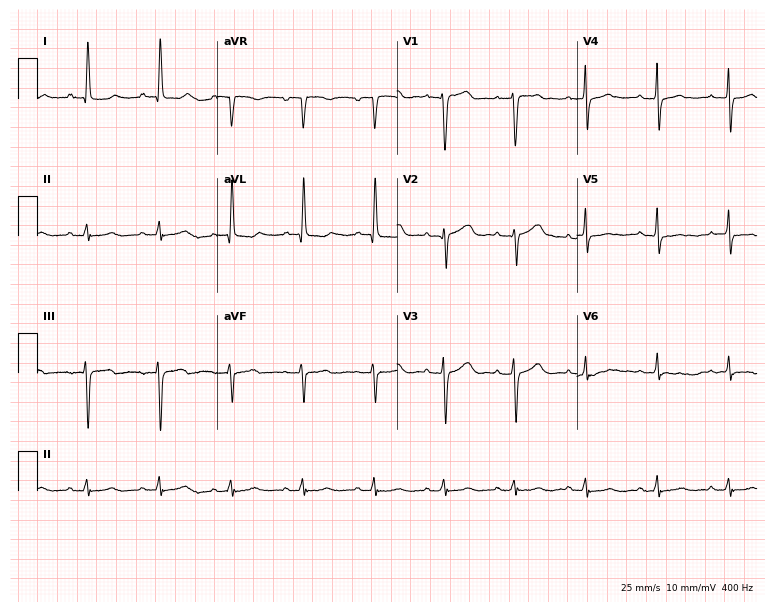
Standard 12-lead ECG recorded from a female, 69 years old. None of these six findings is recorded: first-degree AV block, right bundle branch block (RBBB), left bundle branch block (LBBB), sinus bradycardia, atrial fibrillation (AF), sinus tachycardia.